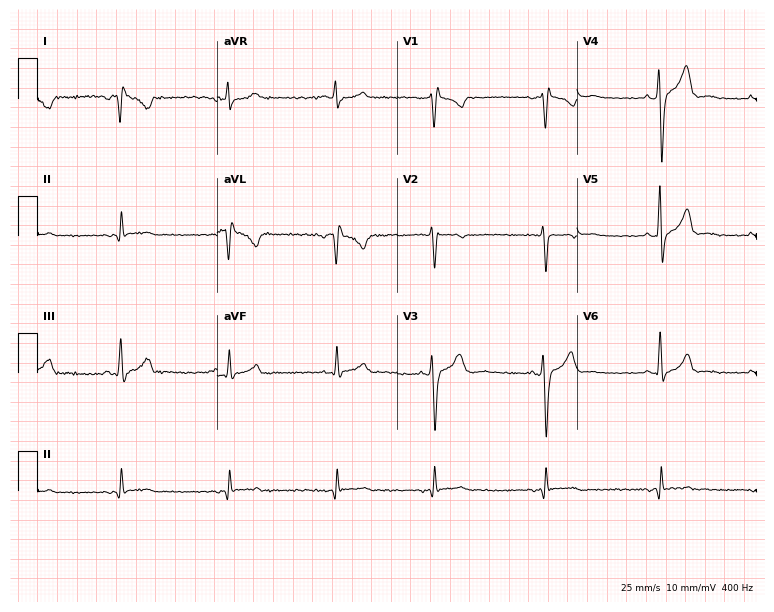
ECG (7.3-second recording at 400 Hz) — a 28-year-old female. Screened for six findings — first-degree AV block, right bundle branch block (RBBB), left bundle branch block (LBBB), sinus bradycardia, atrial fibrillation (AF), sinus tachycardia — none is recorded.